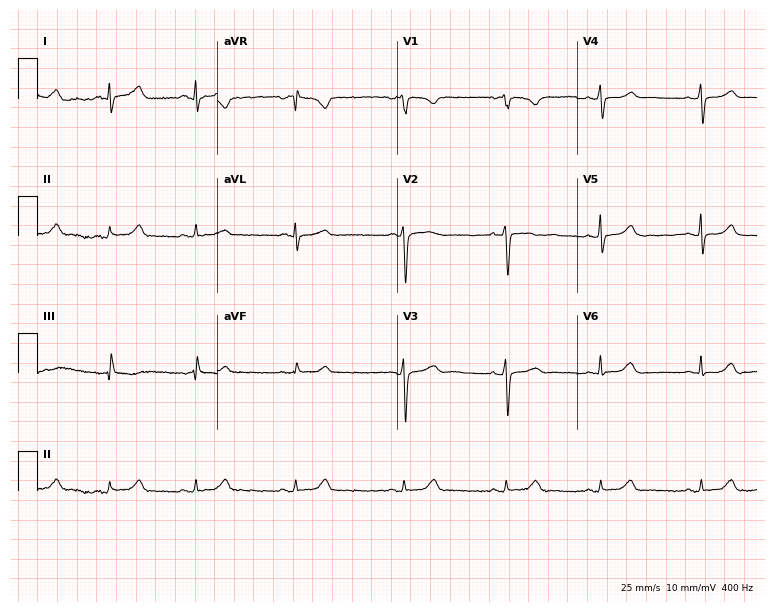
12-lead ECG from a woman, 51 years old. Recorded interpretation: within normal limits.